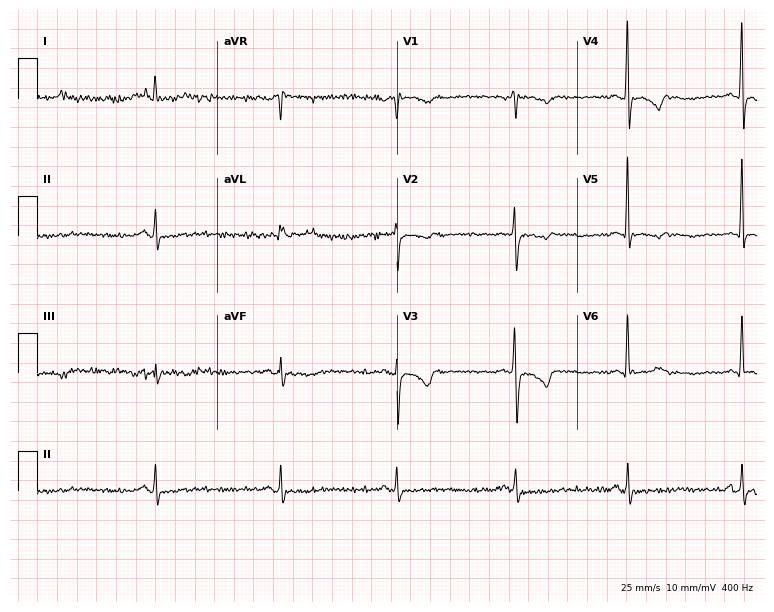
Resting 12-lead electrocardiogram. Patient: a male, 67 years old. None of these six findings is recorded: first-degree AV block, right bundle branch block, left bundle branch block, sinus bradycardia, atrial fibrillation, sinus tachycardia. Other findings, if any, are not listed.